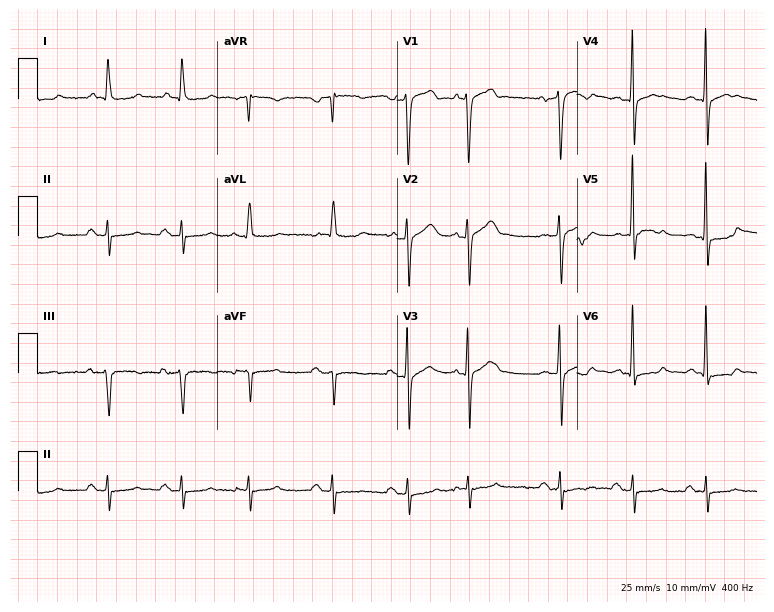
Resting 12-lead electrocardiogram. Patient: a man, 71 years old. None of these six findings is recorded: first-degree AV block, right bundle branch block (RBBB), left bundle branch block (LBBB), sinus bradycardia, atrial fibrillation (AF), sinus tachycardia.